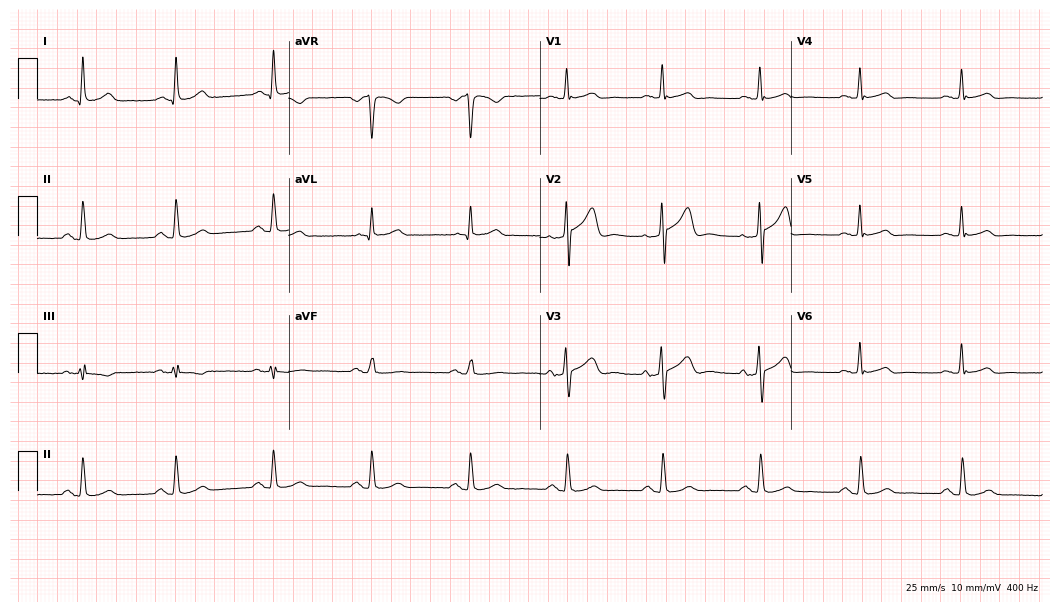
Resting 12-lead electrocardiogram. Patient: a 58-year-old man. None of these six findings is recorded: first-degree AV block, right bundle branch block, left bundle branch block, sinus bradycardia, atrial fibrillation, sinus tachycardia.